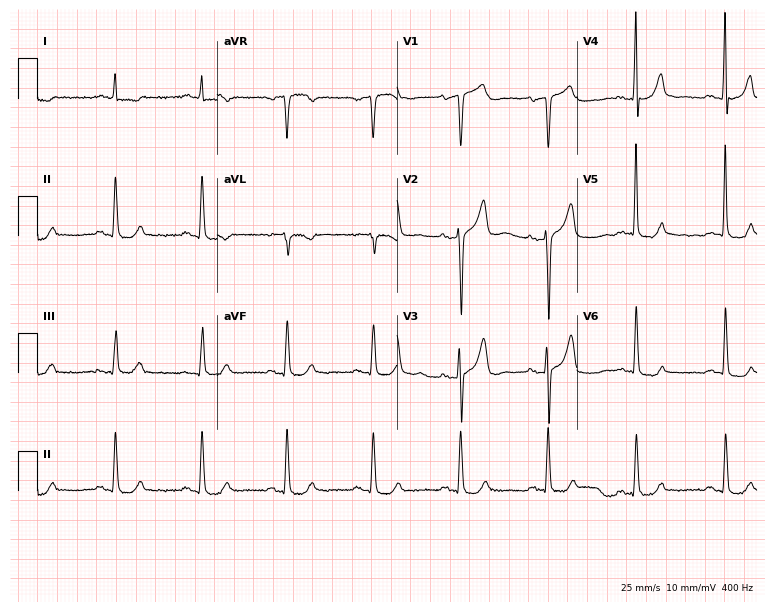
Standard 12-lead ECG recorded from a male patient, 71 years old. Read as a normal ECG.